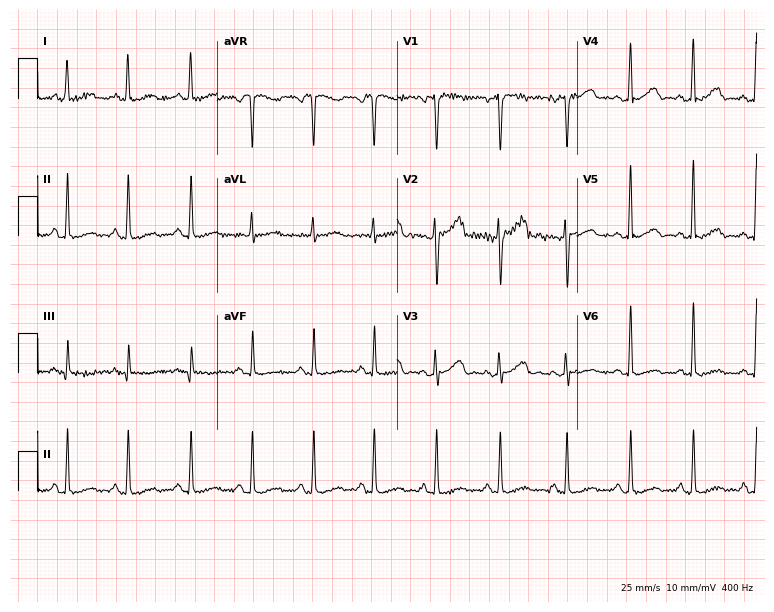
12-lead ECG from a 33-year-old female (7.3-second recording at 400 Hz). No first-degree AV block, right bundle branch block, left bundle branch block, sinus bradycardia, atrial fibrillation or sinus tachycardia recorded for this tracing.